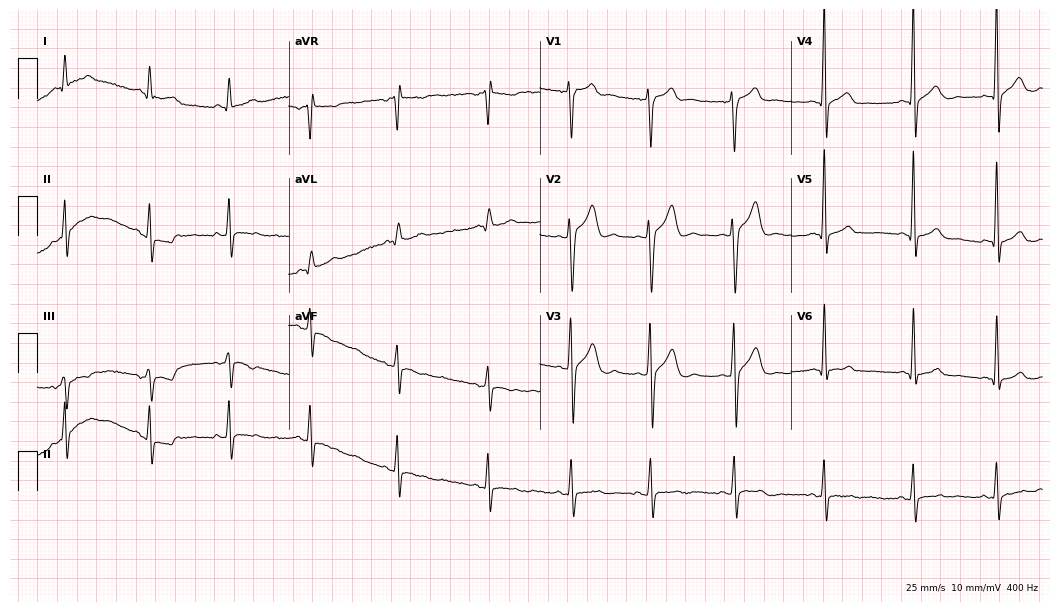
12-lead ECG (10.2-second recording at 400 Hz) from a male patient, 22 years old. Screened for six findings — first-degree AV block, right bundle branch block, left bundle branch block, sinus bradycardia, atrial fibrillation, sinus tachycardia — none is recorded.